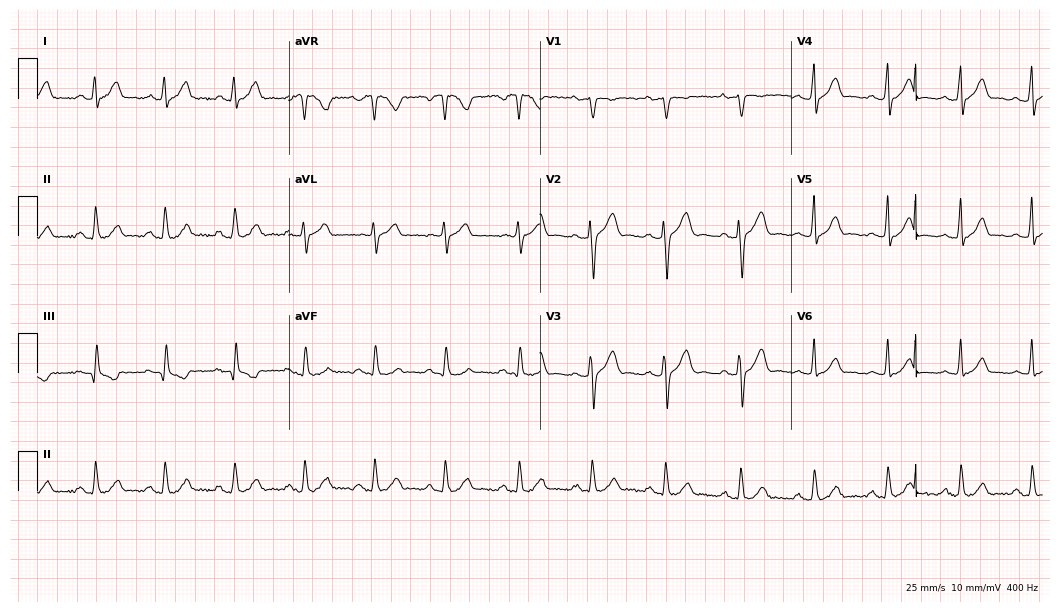
12-lead ECG from a 36-year-old male. Recorded interpretation: within normal limits.